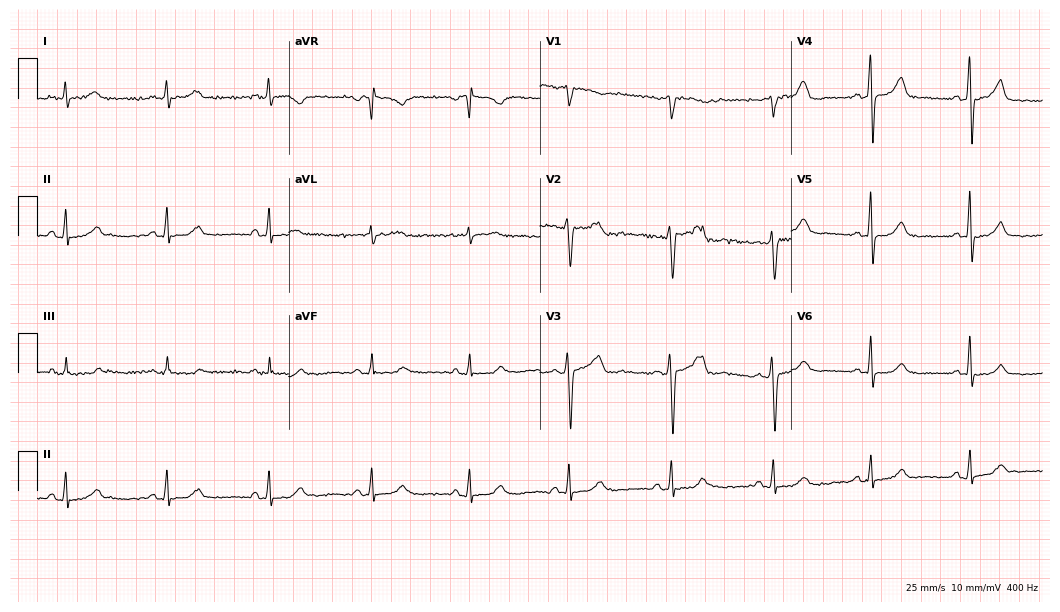
Resting 12-lead electrocardiogram. Patient: a 51-year-old female. Read as a normal ECG.